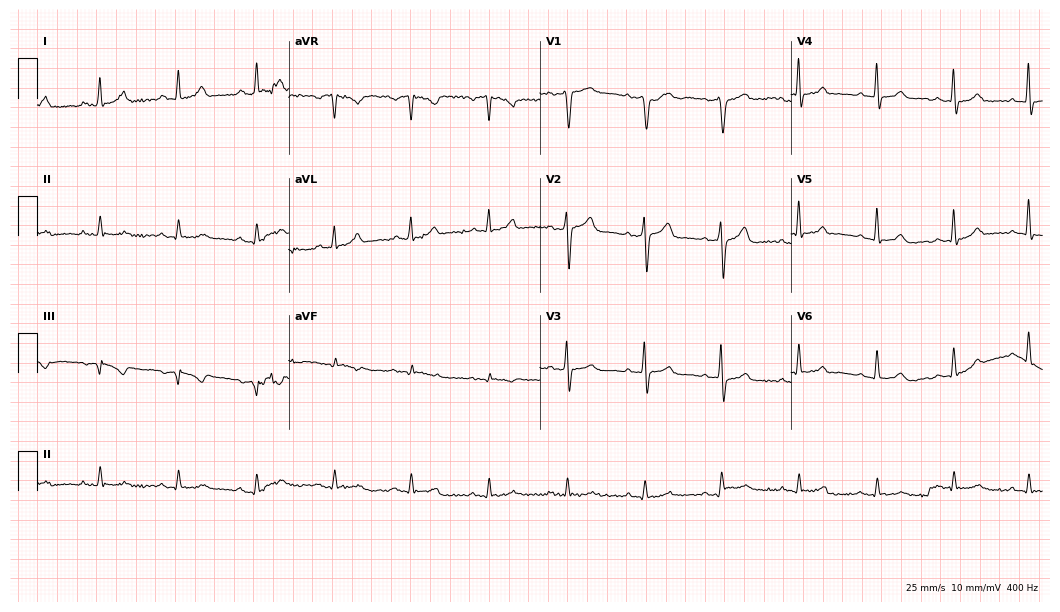
Electrocardiogram (10.2-second recording at 400 Hz), a male, 67 years old. Of the six screened findings (first-degree AV block, right bundle branch block (RBBB), left bundle branch block (LBBB), sinus bradycardia, atrial fibrillation (AF), sinus tachycardia), none is recorded.